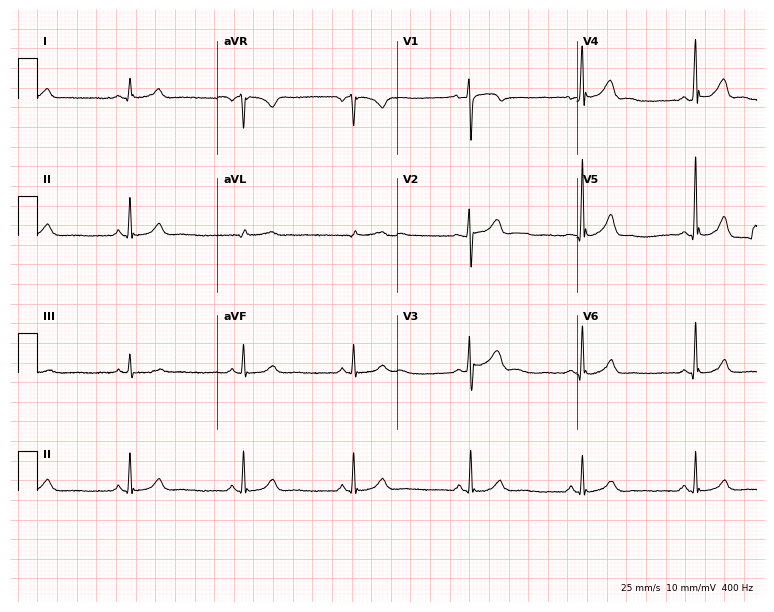
Electrocardiogram, a male, 25 years old. Overall reading on record: normal ECG.